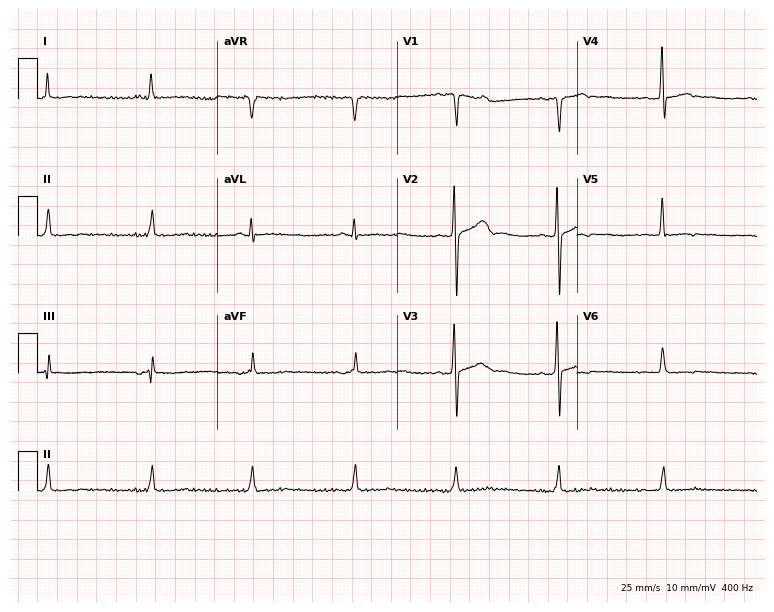
12-lead ECG from a 68-year-old male patient. No first-degree AV block, right bundle branch block, left bundle branch block, sinus bradycardia, atrial fibrillation or sinus tachycardia recorded for this tracing.